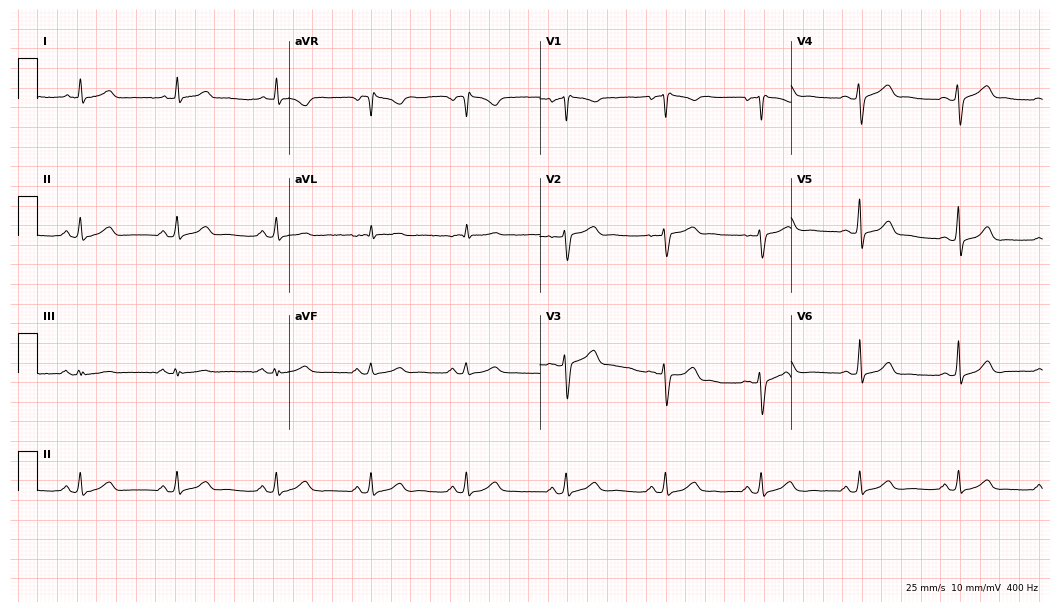
Electrocardiogram, a 41-year-old female. Of the six screened findings (first-degree AV block, right bundle branch block (RBBB), left bundle branch block (LBBB), sinus bradycardia, atrial fibrillation (AF), sinus tachycardia), none is recorded. Findings outside these six are not listed.